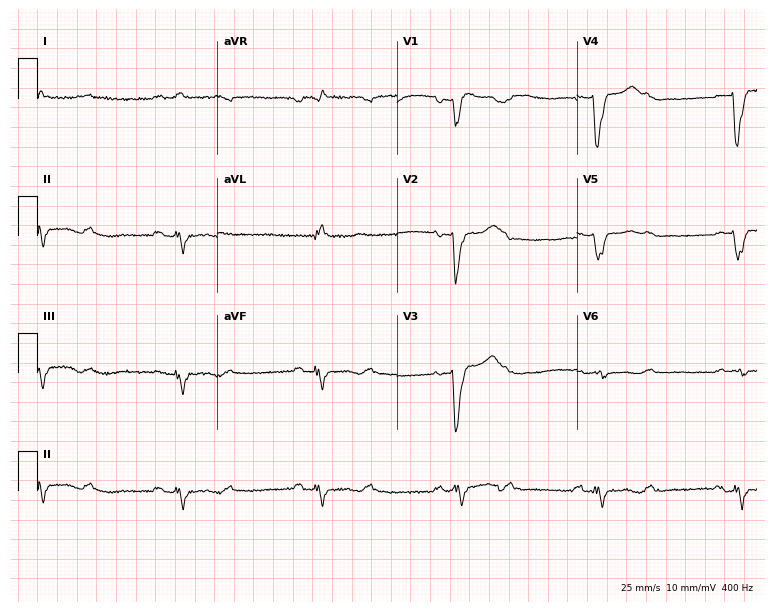
Resting 12-lead electrocardiogram. Patient: a female, 55 years old. The tracing shows first-degree AV block.